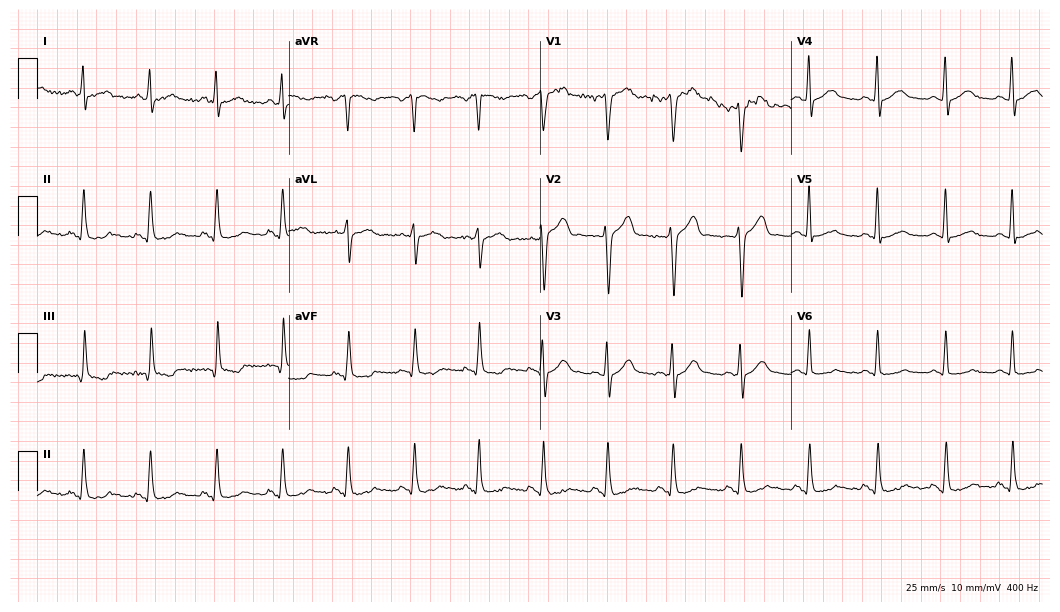
Electrocardiogram (10.2-second recording at 400 Hz), a male patient, 43 years old. Overall reading on record: normal ECG.